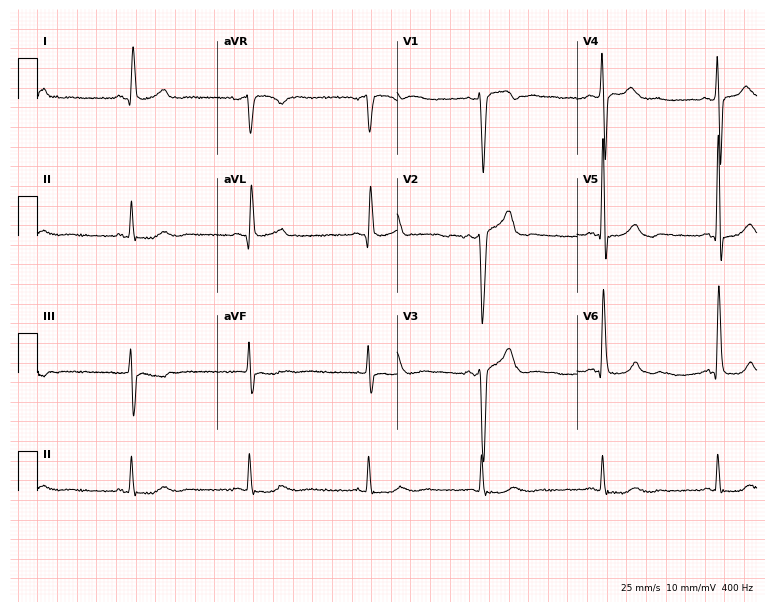
12-lead ECG from a 76-year-old male patient. Findings include sinus bradycardia (a sinus rate of 50 beats per minute or less).